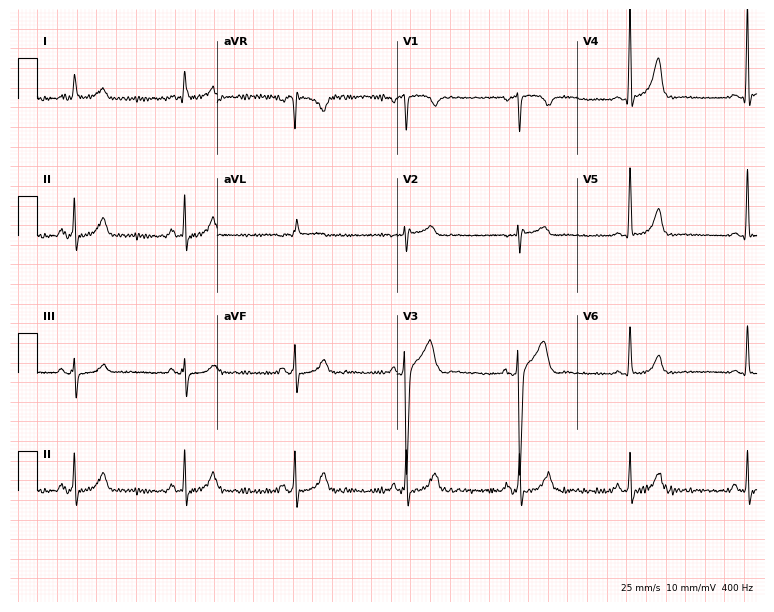
12-lead ECG from a 59-year-old male (7.3-second recording at 400 Hz). No first-degree AV block, right bundle branch block (RBBB), left bundle branch block (LBBB), sinus bradycardia, atrial fibrillation (AF) or sinus tachycardia recorded for this tracing. Only these six findings were labelled.